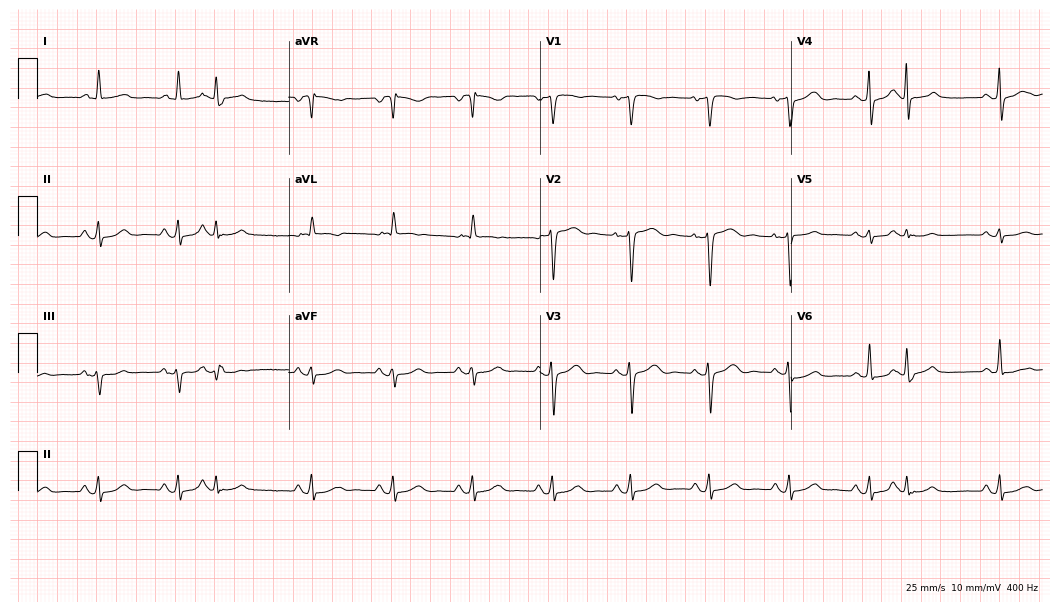
12-lead ECG from a woman, 82 years old (10.2-second recording at 400 Hz). Recorded interpretation: within normal limits.